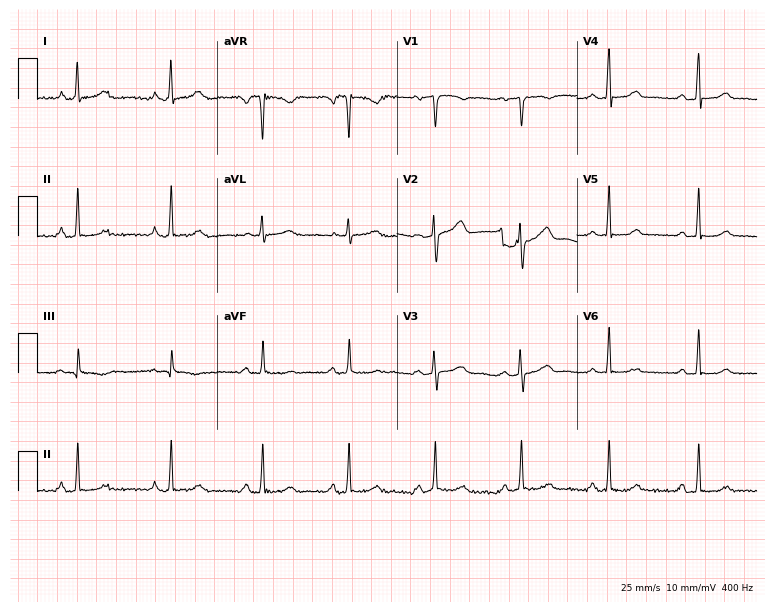
Resting 12-lead electrocardiogram (7.3-second recording at 400 Hz). Patient: a 28-year-old woman. None of these six findings is recorded: first-degree AV block, right bundle branch block, left bundle branch block, sinus bradycardia, atrial fibrillation, sinus tachycardia. Only these six findings were labelled.